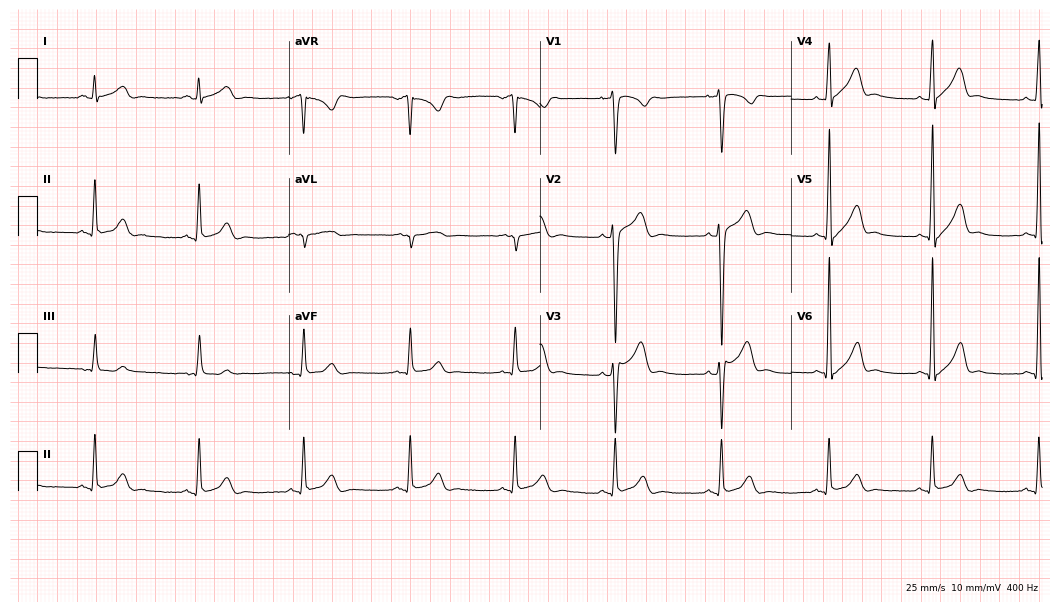
12-lead ECG from a 26-year-old male patient. Labelled as a normal ECG.